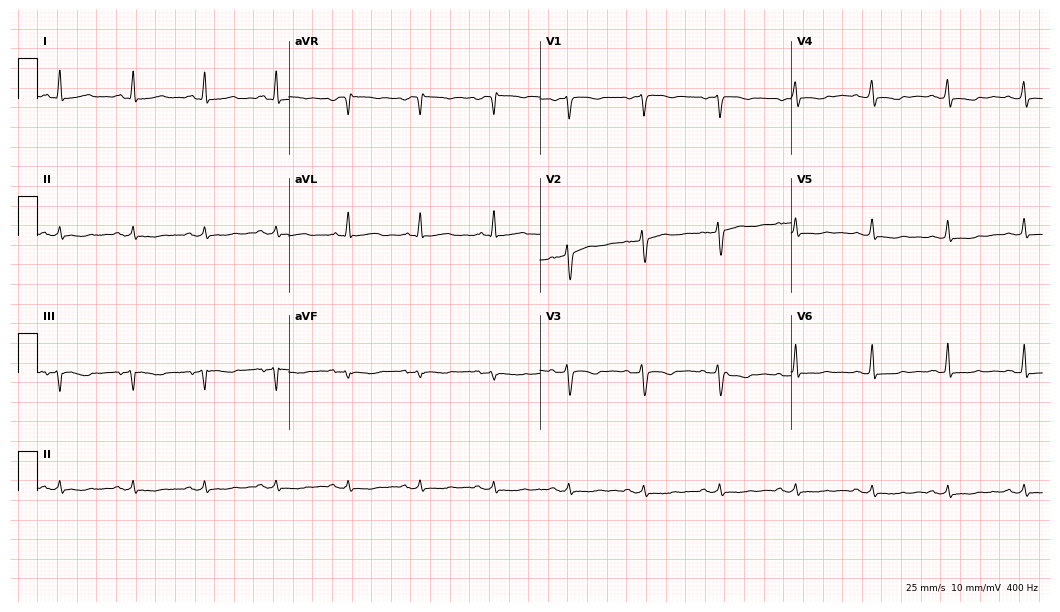
Standard 12-lead ECG recorded from a female patient, 60 years old. Read as a normal ECG.